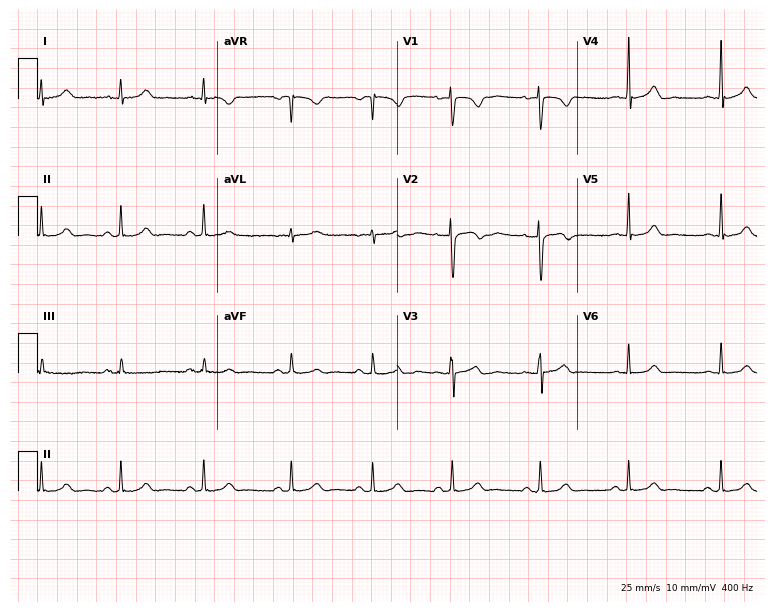
12-lead ECG from a female, 21 years old. Recorded interpretation: within normal limits.